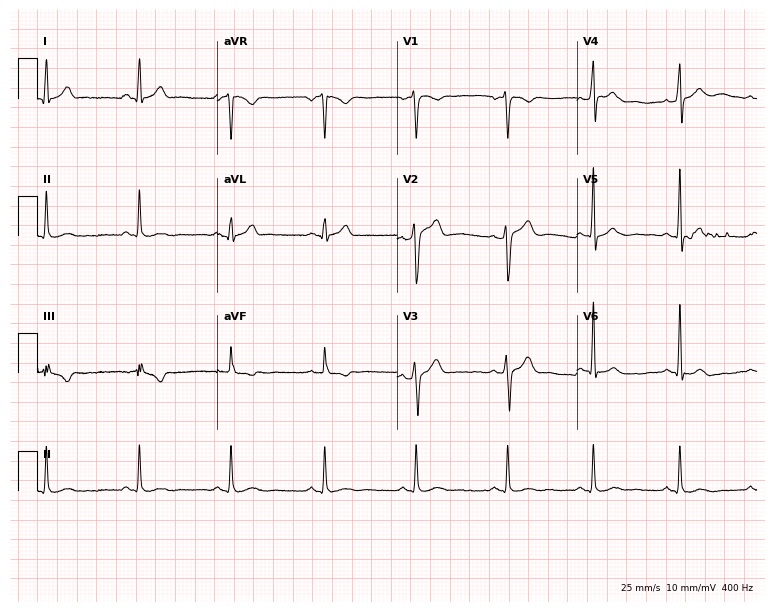
Resting 12-lead electrocardiogram. Patient: a man, 28 years old. None of these six findings is recorded: first-degree AV block, right bundle branch block, left bundle branch block, sinus bradycardia, atrial fibrillation, sinus tachycardia. Findings outside these six are not listed.